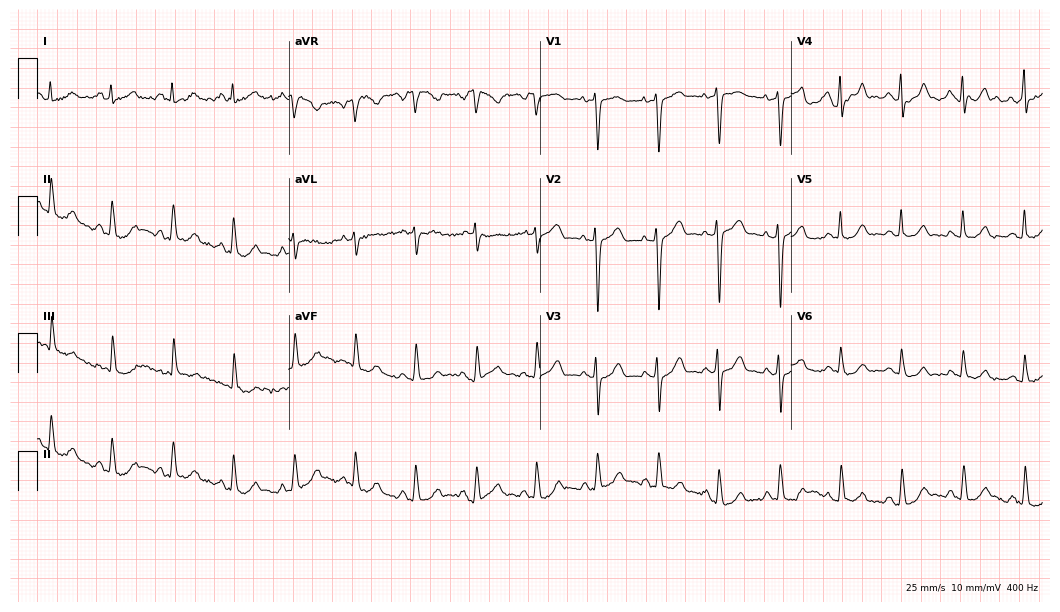
ECG — a woman, 30 years old. Labelled as a normal ECG.